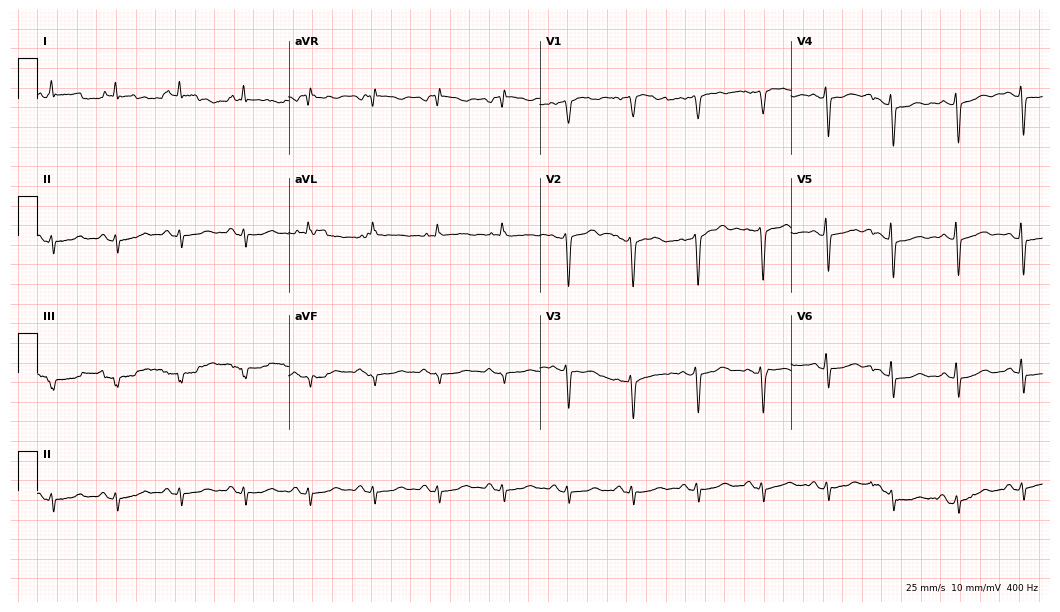
ECG — a male patient, 71 years old. Screened for six findings — first-degree AV block, right bundle branch block, left bundle branch block, sinus bradycardia, atrial fibrillation, sinus tachycardia — none is recorded. Other findings, if any, are not listed.